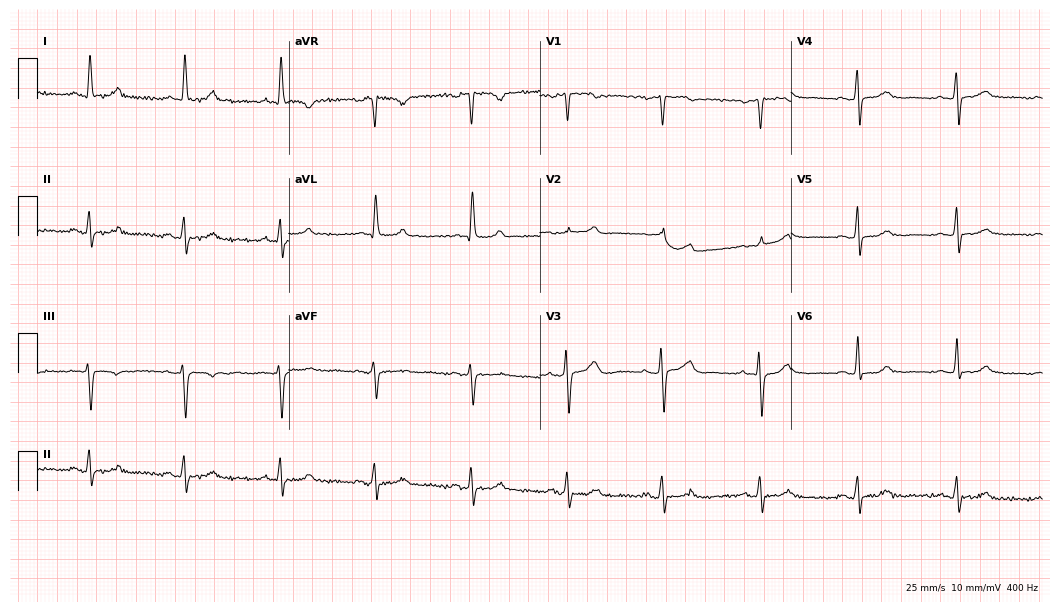
ECG — a female, 60 years old. Labelled as a normal ECG.